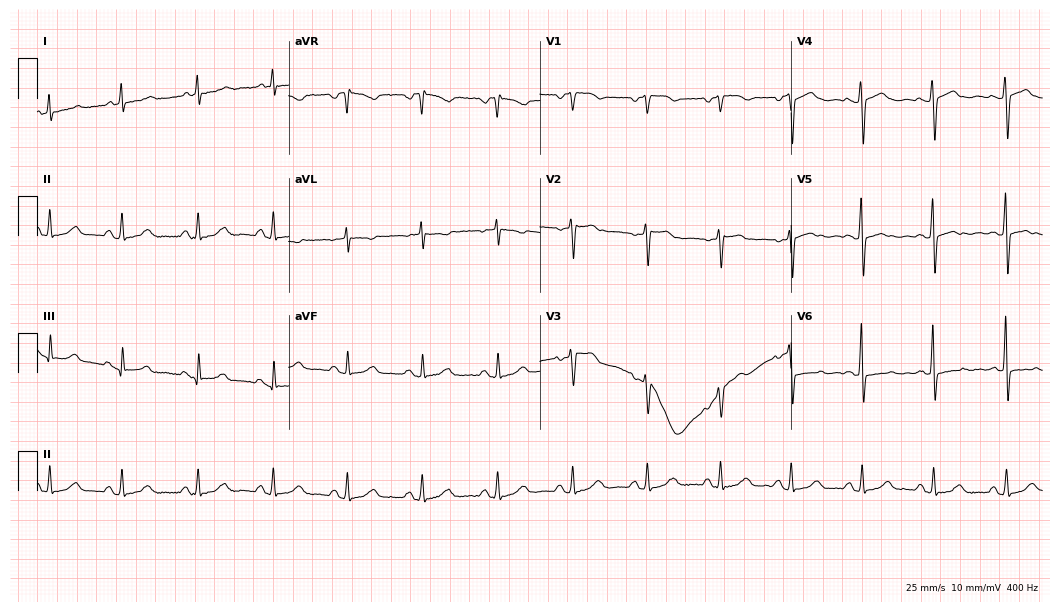
Resting 12-lead electrocardiogram. Patient: a 71-year-old woman. Read as a normal ECG.